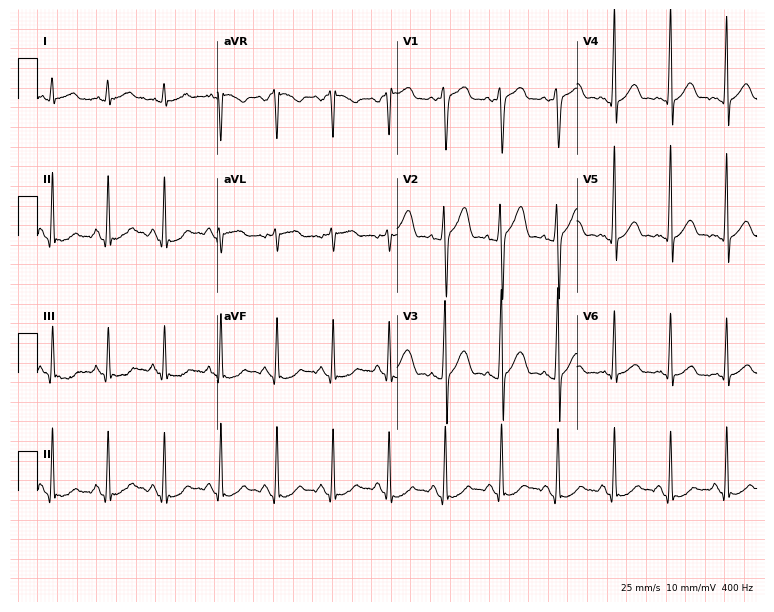
12-lead ECG (7.3-second recording at 400 Hz) from a female patient, 32 years old. Findings include sinus tachycardia (a sinus rate of 100 beats per minute or more).